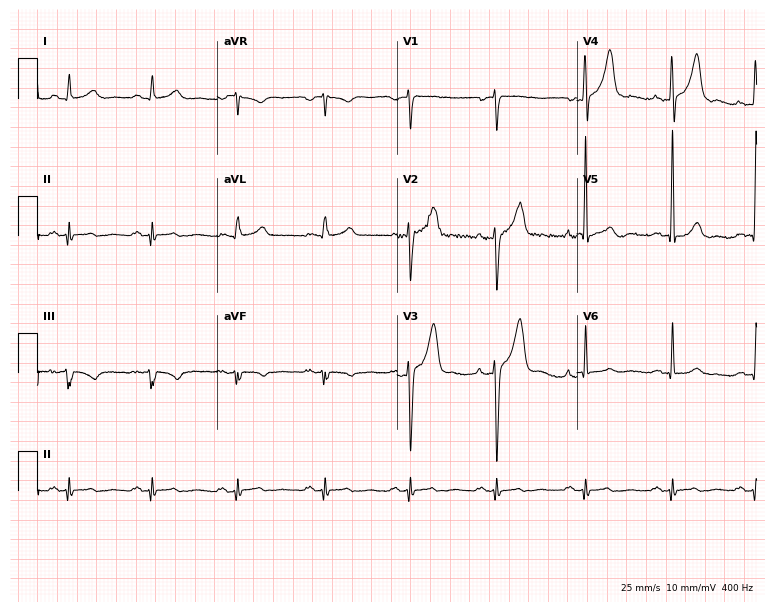
Resting 12-lead electrocardiogram (7.3-second recording at 400 Hz). Patient: a male, 60 years old. Read as a normal ECG.